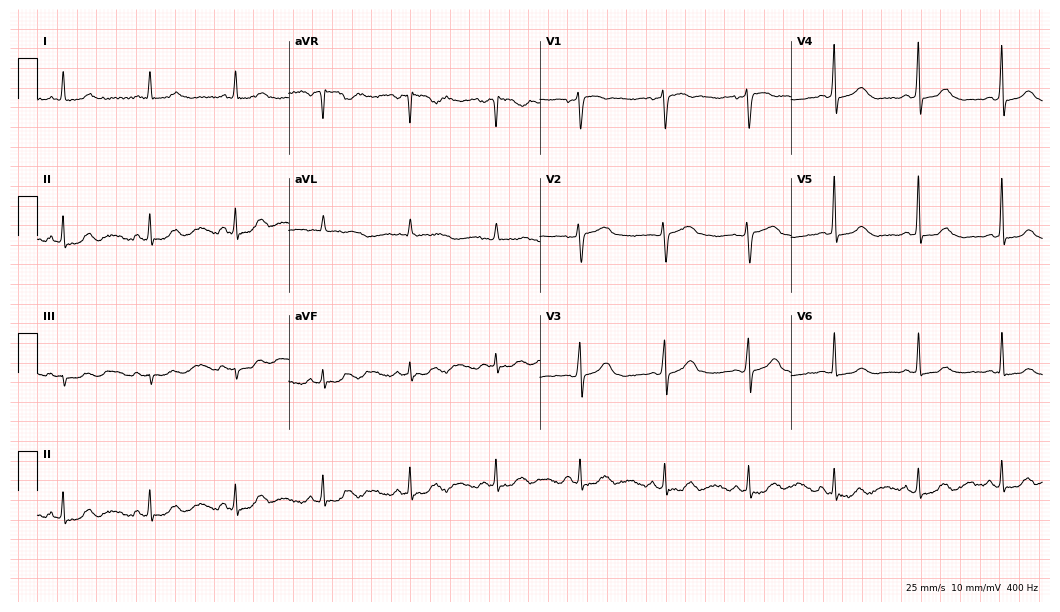
12-lead ECG (10.2-second recording at 400 Hz) from a female, 65 years old. Screened for six findings — first-degree AV block, right bundle branch block, left bundle branch block, sinus bradycardia, atrial fibrillation, sinus tachycardia — none is recorded.